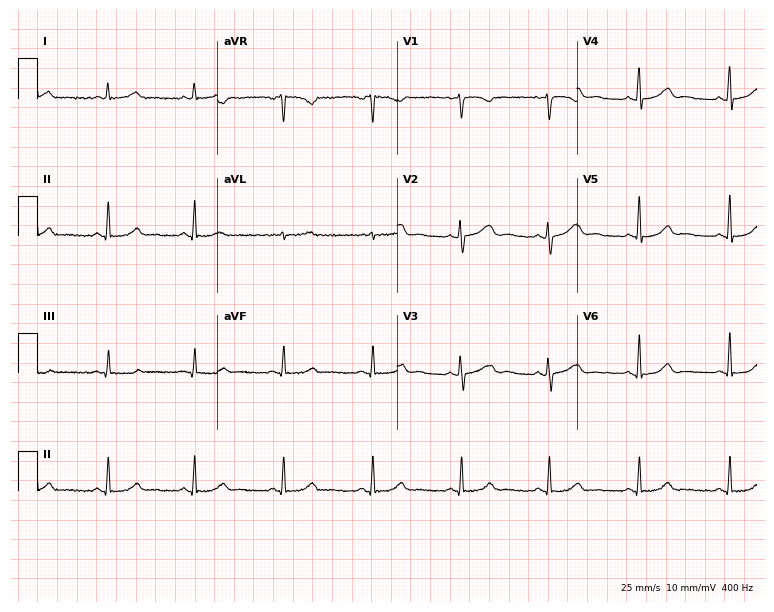
ECG (7.3-second recording at 400 Hz) — a woman, 42 years old. Screened for six findings — first-degree AV block, right bundle branch block (RBBB), left bundle branch block (LBBB), sinus bradycardia, atrial fibrillation (AF), sinus tachycardia — none is recorded.